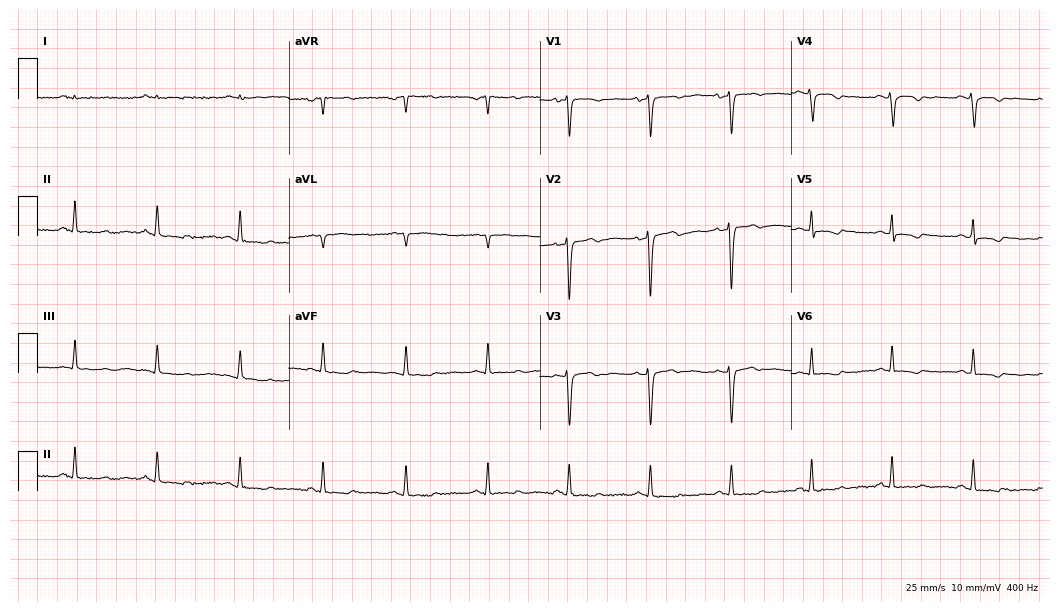
Standard 12-lead ECG recorded from a 62-year-old female. None of these six findings is recorded: first-degree AV block, right bundle branch block, left bundle branch block, sinus bradycardia, atrial fibrillation, sinus tachycardia.